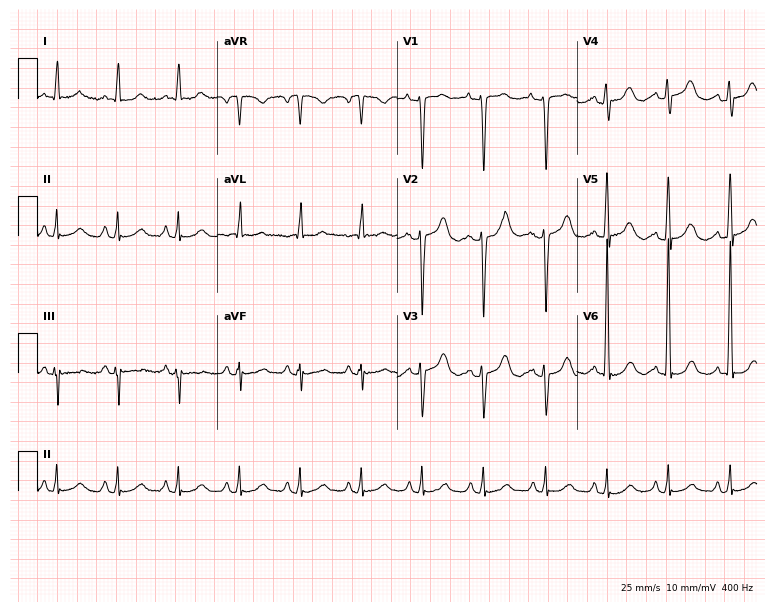
Standard 12-lead ECG recorded from an 82-year-old female patient. None of these six findings is recorded: first-degree AV block, right bundle branch block, left bundle branch block, sinus bradycardia, atrial fibrillation, sinus tachycardia.